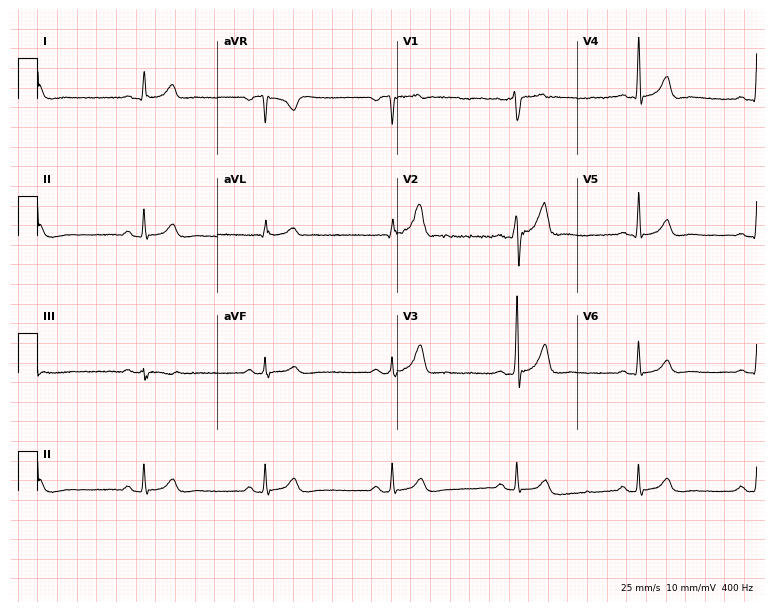
Standard 12-lead ECG recorded from a 41-year-old male (7.3-second recording at 400 Hz). The tracing shows sinus bradycardia (a sinus rate of 50 beats per minute or less).